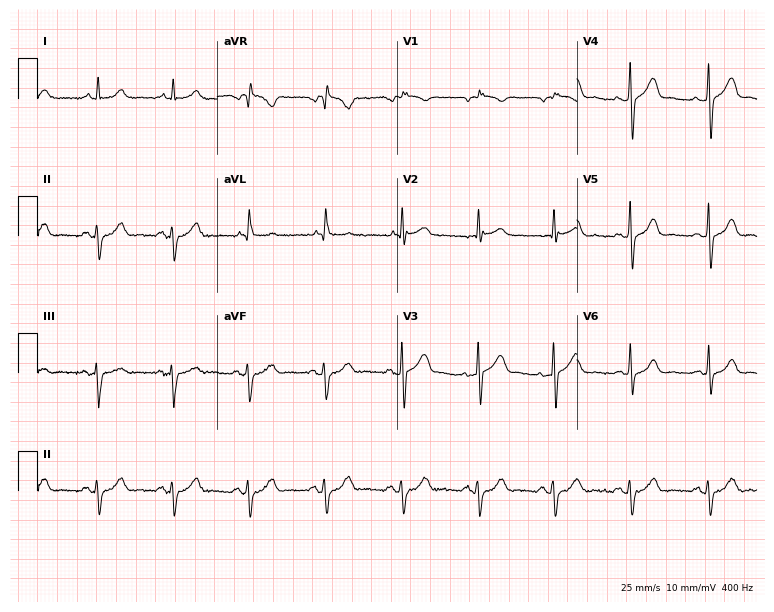
Electrocardiogram (7.3-second recording at 400 Hz), a 58-year-old male. Of the six screened findings (first-degree AV block, right bundle branch block, left bundle branch block, sinus bradycardia, atrial fibrillation, sinus tachycardia), none is recorded.